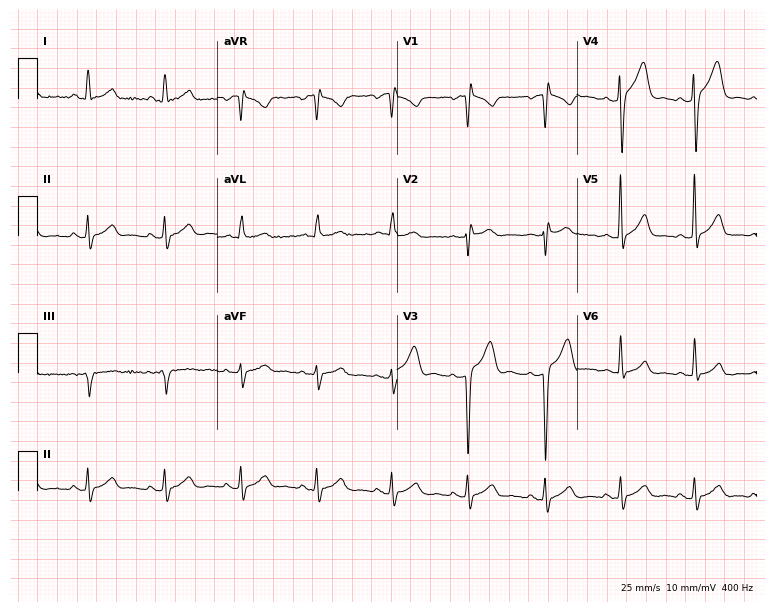
12-lead ECG (7.3-second recording at 400 Hz) from a 27-year-old male. Screened for six findings — first-degree AV block, right bundle branch block, left bundle branch block, sinus bradycardia, atrial fibrillation, sinus tachycardia — none is recorded. Findings outside these six are not listed.